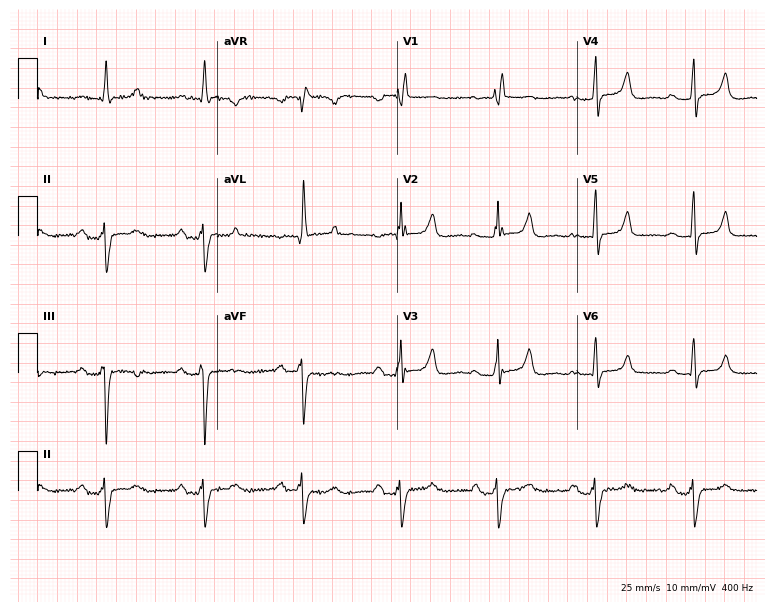
12-lead ECG from a woman, 50 years old. Findings include first-degree AV block, right bundle branch block.